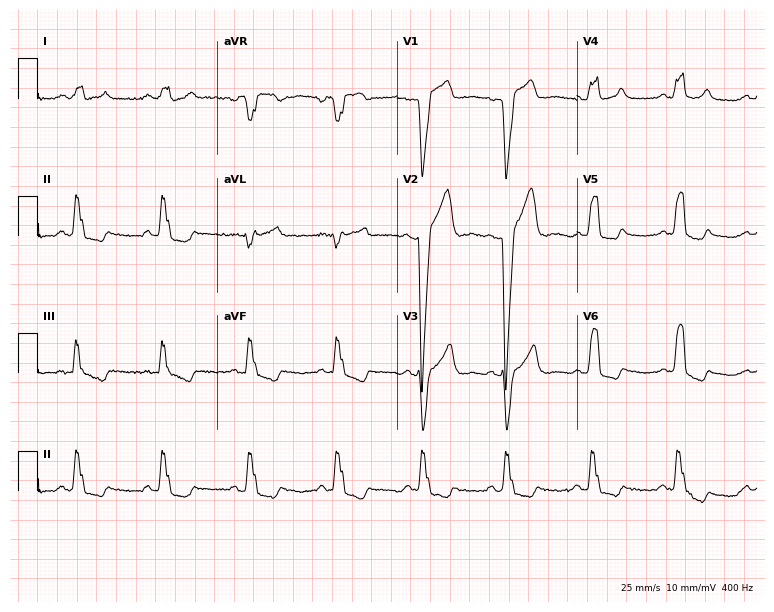
Electrocardiogram (7.3-second recording at 400 Hz), a 37-year-old man. Interpretation includes left bundle branch block.